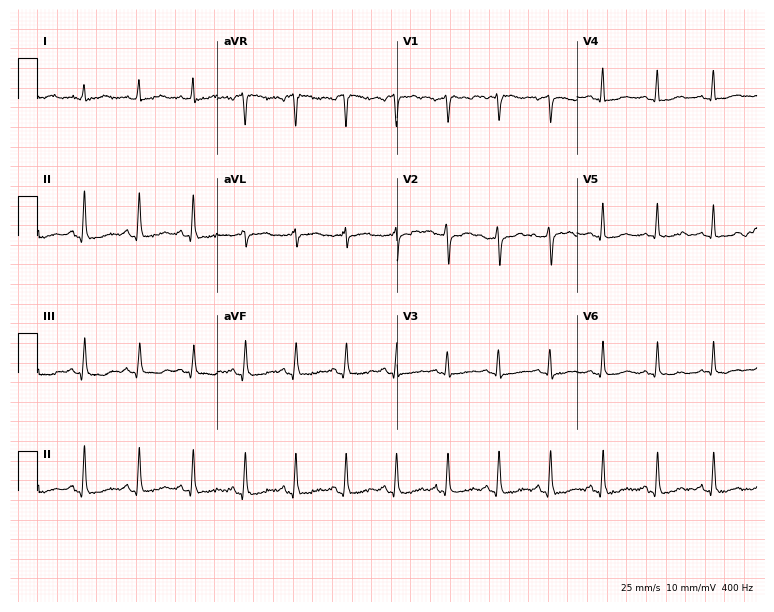
Electrocardiogram, a female, 35 years old. Of the six screened findings (first-degree AV block, right bundle branch block, left bundle branch block, sinus bradycardia, atrial fibrillation, sinus tachycardia), none is recorded. Findings outside these six are not listed.